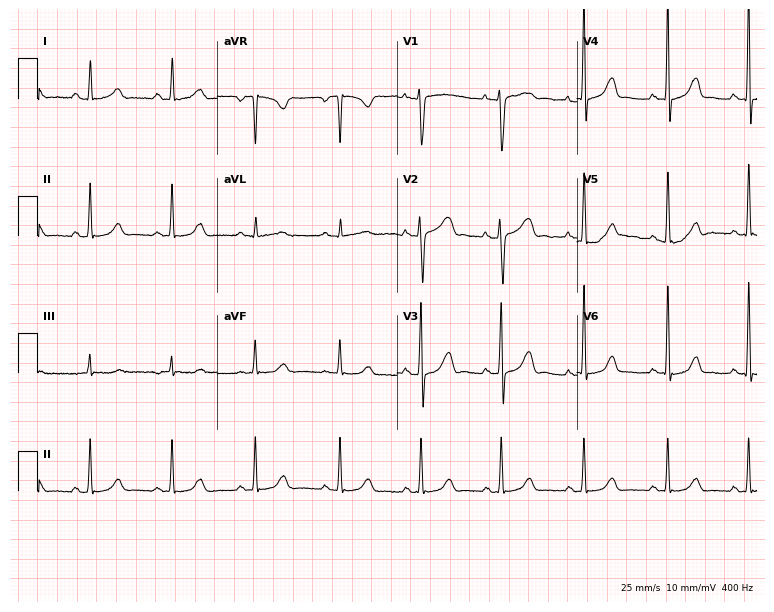
12-lead ECG (7.3-second recording at 400 Hz) from a female, 50 years old. Screened for six findings — first-degree AV block, right bundle branch block (RBBB), left bundle branch block (LBBB), sinus bradycardia, atrial fibrillation (AF), sinus tachycardia — none is recorded.